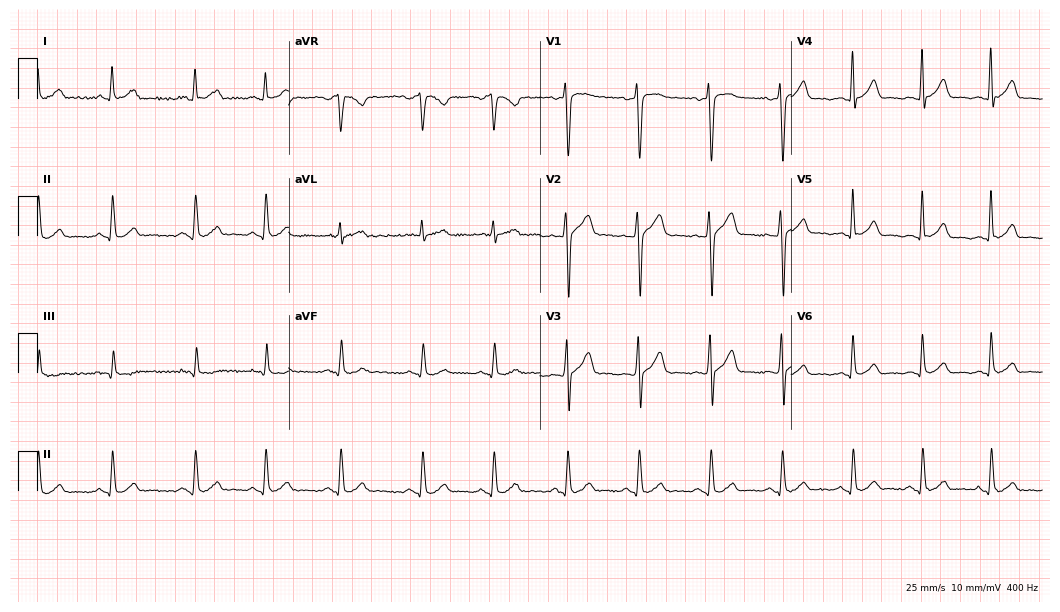
ECG (10.2-second recording at 400 Hz) — a 38-year-old male patient. Screened for six findings — first-degree AV block, right bundle branch block, left bundle branch block, sinus bradycardia, atrial fibrillation, sinus tachycardia — none is recorded. Findings outside these six are not listed.